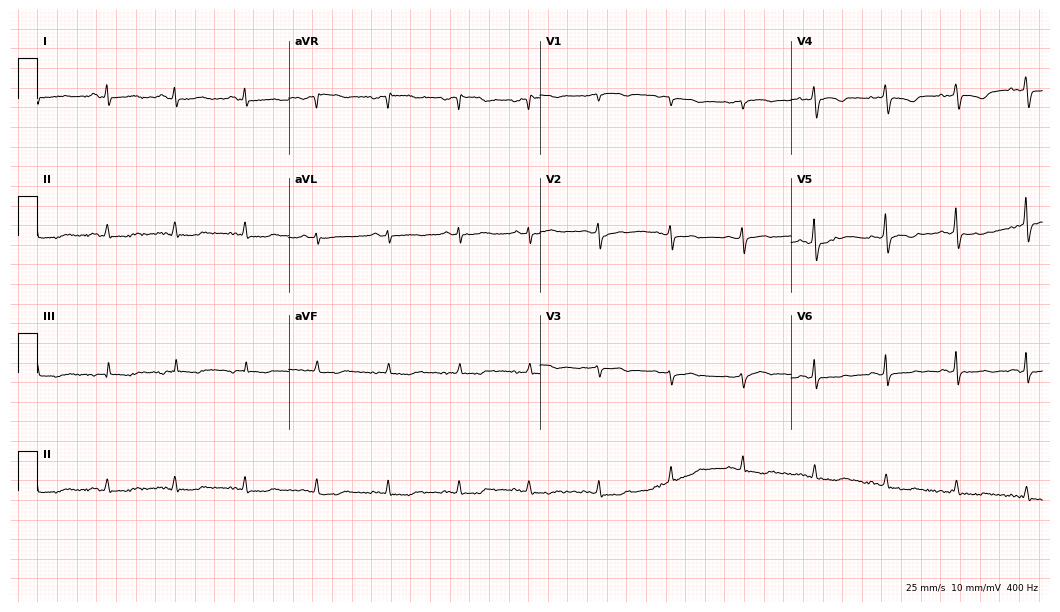
Electrocardiogram (10.2-second recording at 400 Hz), a 64-year-old woman. Of the six screened findings (first-degree AV block, right bundle branch block, left bundle branch block, sinus bradycardia, atrial fibrillation, sinus tachycardia), none is recorded.